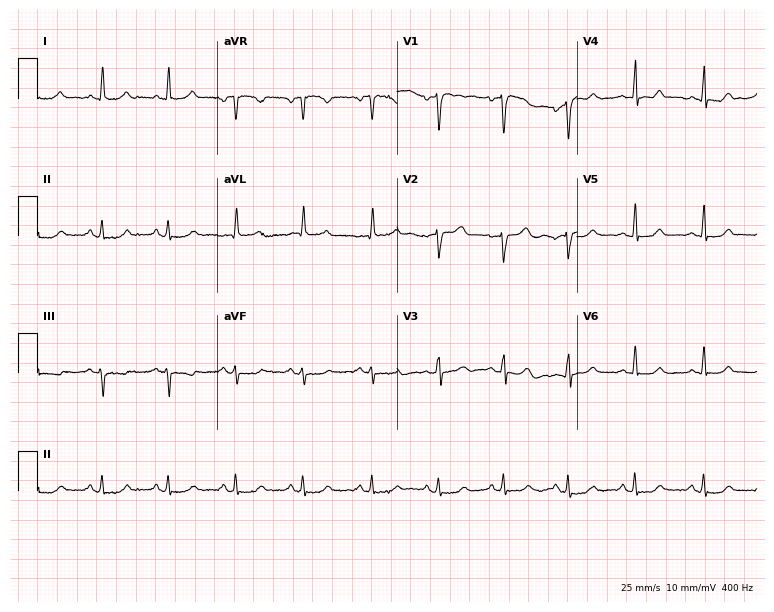
12-lead ECG from a 48-year-old woman (7.3-second recording at 400 Hz). No first-degree AV block, right bundle branch block, left bundle branch block, sinus bradycardia, atrial fibrillation or sinus tachycardia recorded for this tracing.